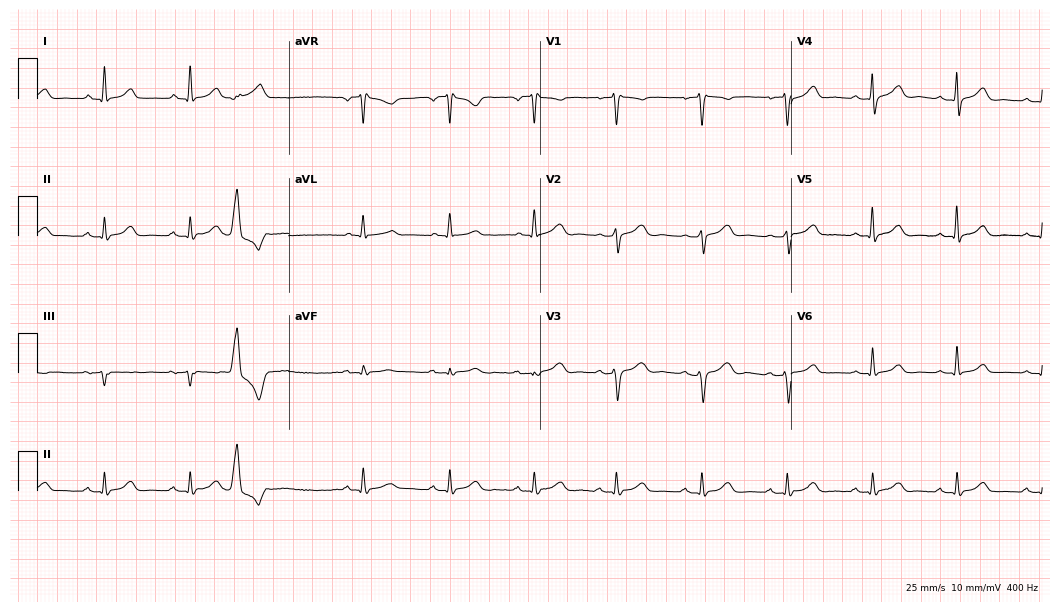
ECG — a female patient, 64 years old. Screened for six findings — first-degree AV block, right bundle branch block, left bundle branch block, sinus bradycardia, atrial fibrillation, sinus tachycardia — none is recorded. Only these six findings were labelled.